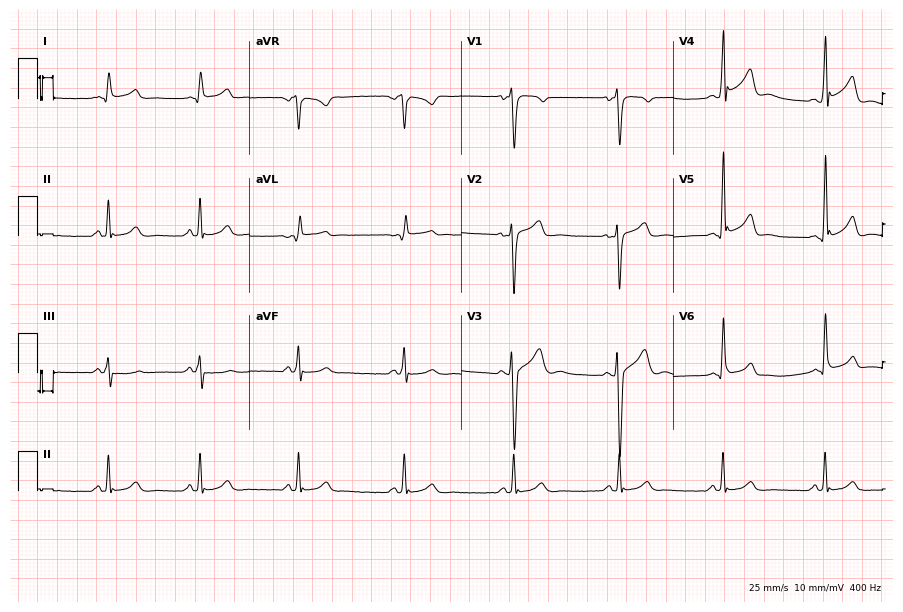
Electrocardiogram, a male patient, 21 years old. Of the six screened findings (first-degree AV block, right bundle branch block (RBBB), left bundle branch block (LBBB), sinus bradycardia, atrial fibrillation (AF), sinus tachycardia), none is recorded.